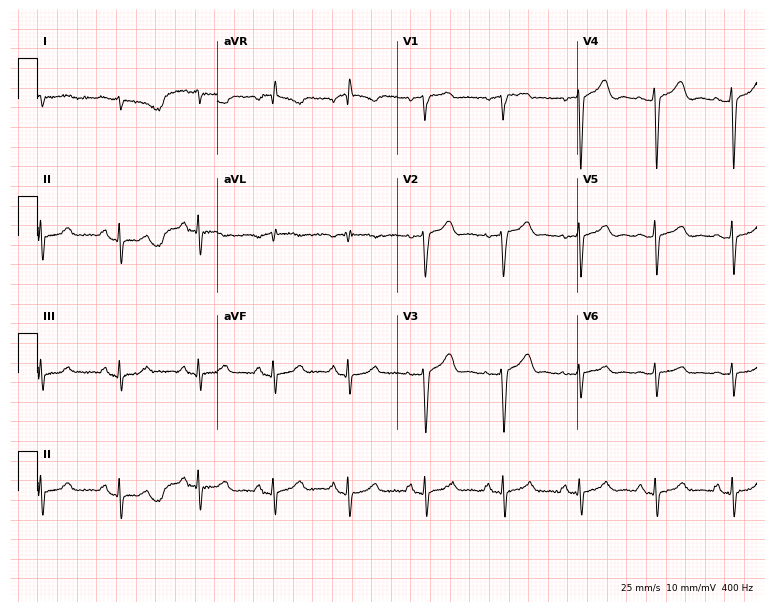
12-lead ECG from a woman, 73 years old (7.3-second recording at 400 Hz). No first-degree AV block, right bundle branch block, left bundle branch block, sinus bradycardia, atrial fibrillation or sinus tachycardia recorded for this tracing.